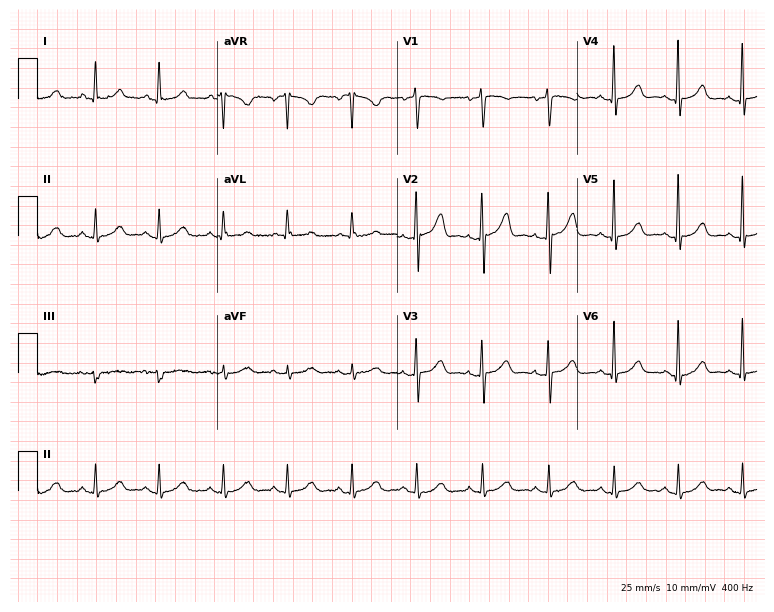
12-lead ECG from a male patient, 70 years old. Labelled as a normal ECG.